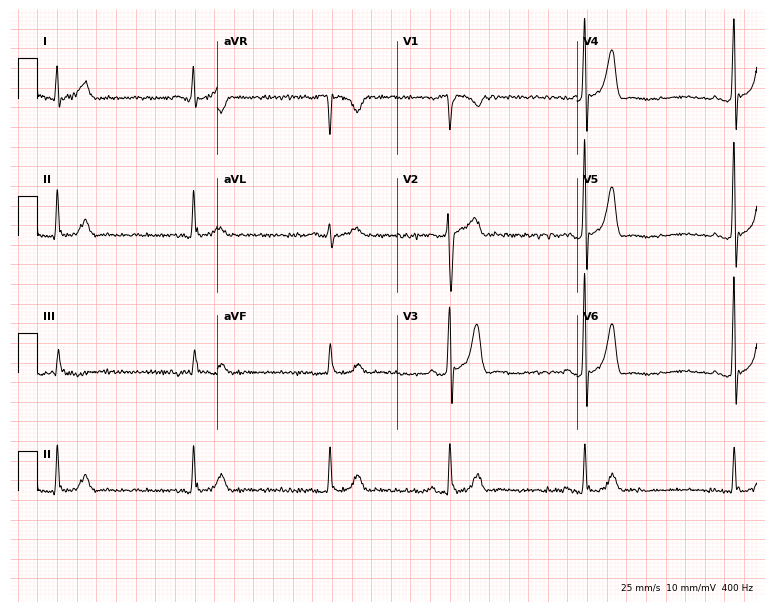
12-lead ECG from a male patient, 73 years old. No first-degree AV block, right bundle branch block (RBBB), left bundle branch block (LBBB), sinus bradycardia, atrial fibrillation (AF) or sinus tachycardia recorded for this tracing. Other findings, if any, are not listed.